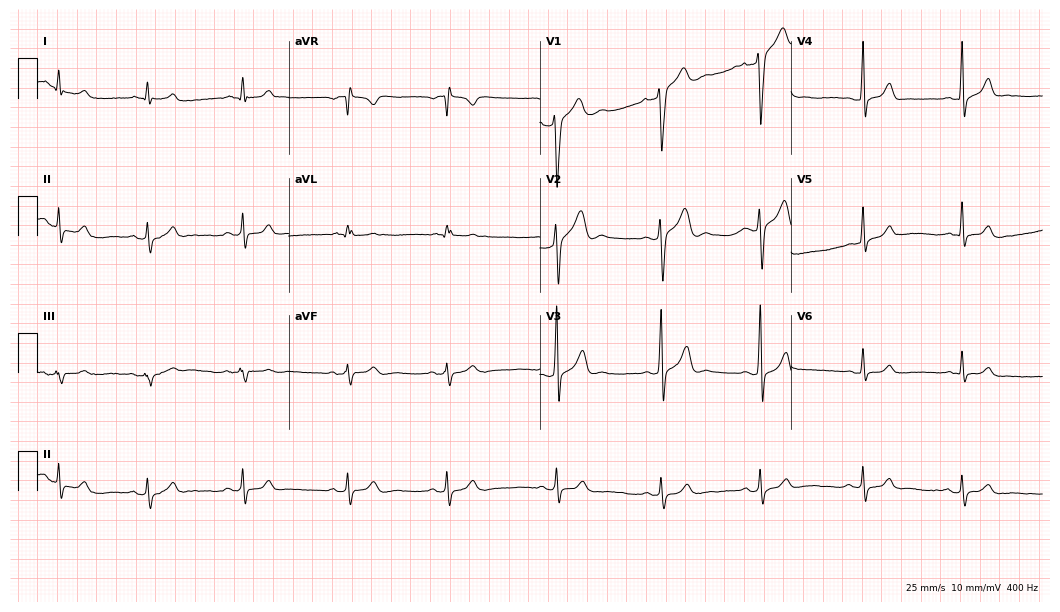
ECG — a 20-year-old man. Screened for six findings — first-degree AV block, right bundle branch block, left bundle branch block, sinus bradycardia, atrial fibrillation, sinus tachycardia — none is recorded.